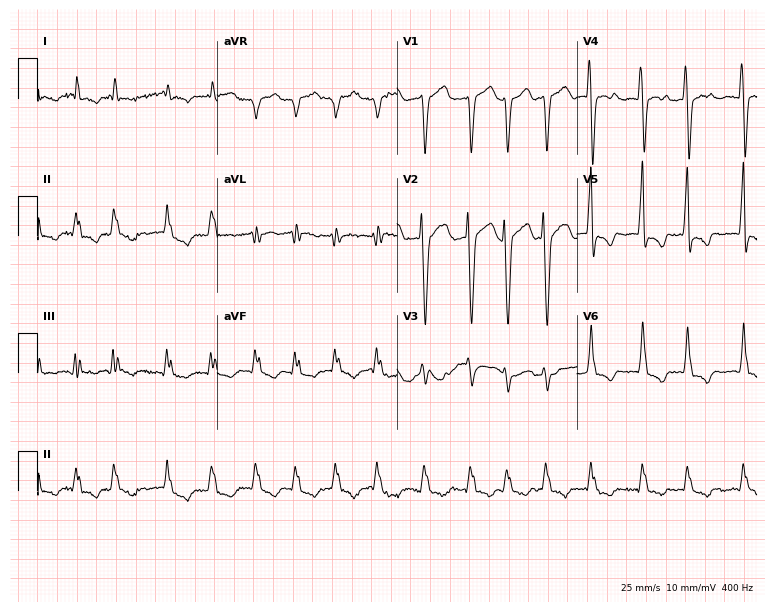
ECG (7.3-second recording at 400 Hz) — a man, 79 years old. Findings include atrial fibrillation (AF).